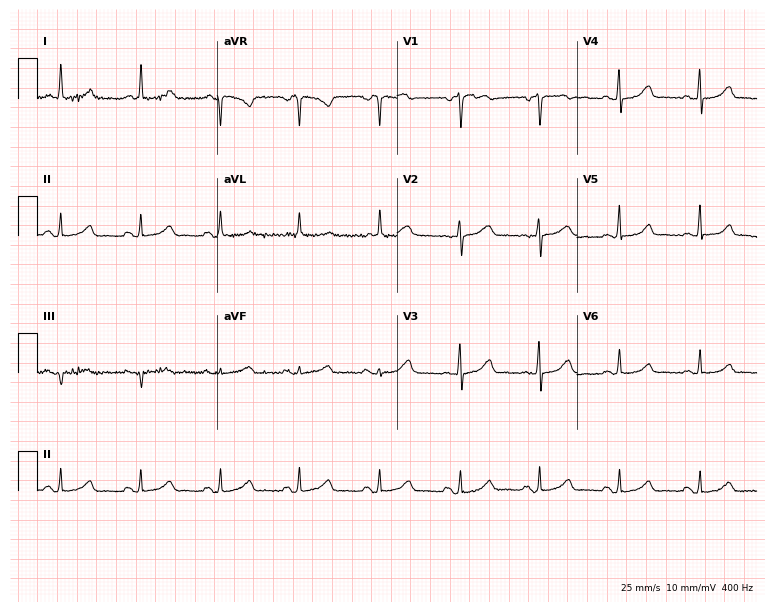
Standard 12-lead ECG recorded from a 71-year-old female patient. Read as a normal ECG.